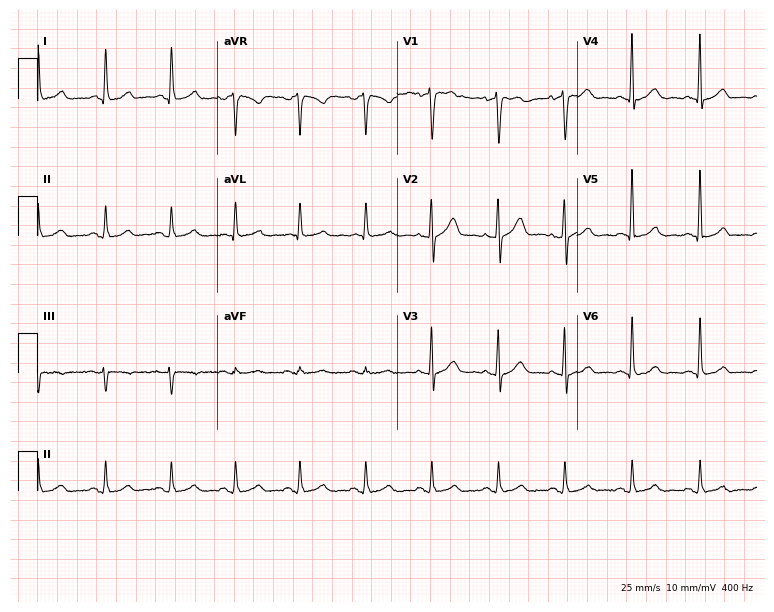
12-lead ECG (7.3-second recording at 400 Hz) from a male, 67 years old. Labelled as a normal ECG.